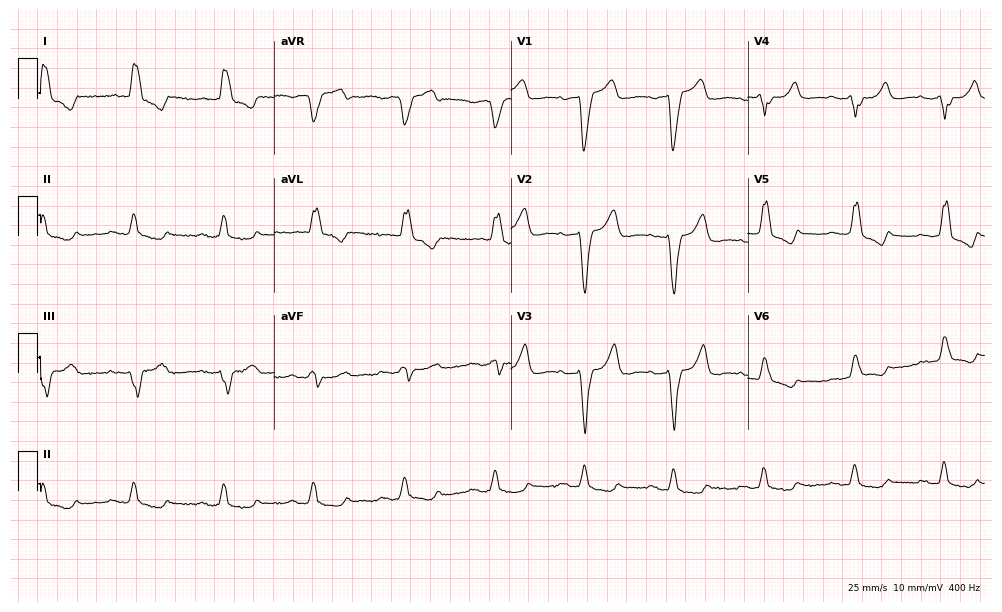
Electrocardiogram (9.7-second recording at 400 Hz), an 85-year-old male. Interpretation includes left bundle branch block (LBBB).